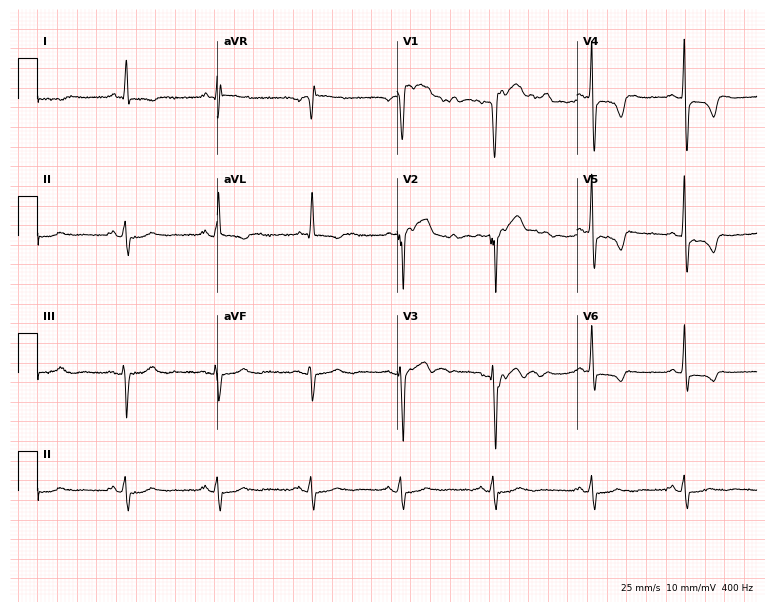
Resting 12-lead electrocardiogram. Patient: a man, 69 years old. None of these six findings is recorded: first-degree AV block, right bundle branch block, left bundle branch block, sinus bradycardia, atrial fibrillation, sinus tachycardia.